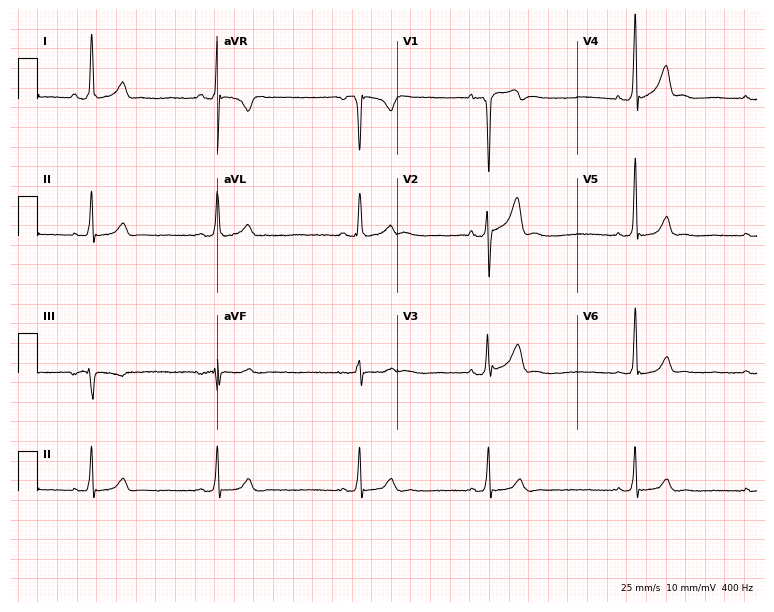
ECG — a man, 36 years old. Findings include sinus bradycardia (a sinus rate of 50 beats per minute or less).